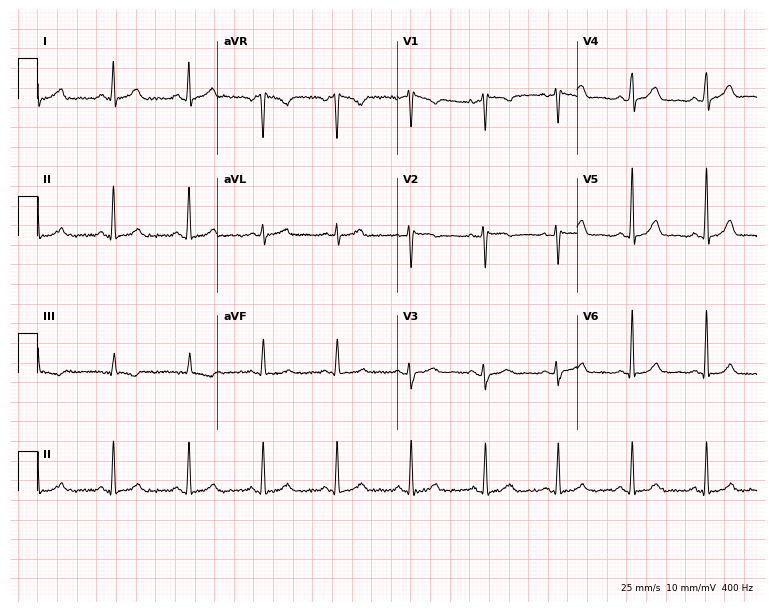
Standard 12-lead ECG recorded from a 42-year-old female patient (7.3-second recording at 400 Hz). None of these six findings is recorded: first-degree AV block, right bundle branch block, left bundle branch block, sinus bradycardia, atrial fibrillation, sinus tachycardia.